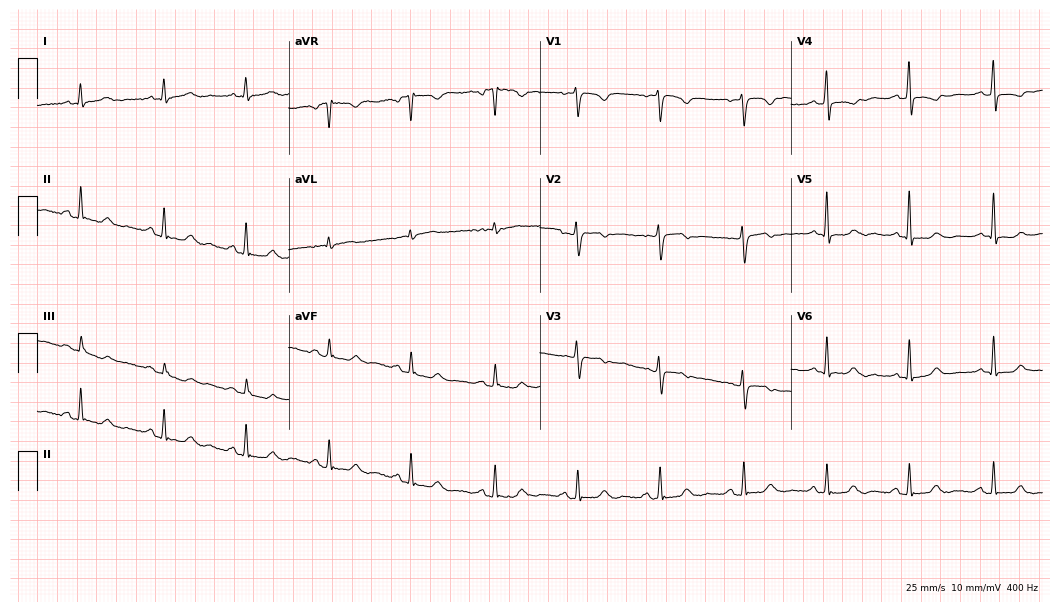
Standard 12-lead ECG recorded from a female patient, 47 years old. None of these six findings is recorded: first-degree AV block, right bundle branch block, left bundle branch block, sinus bradycardia, atrial fibrillation, sinus tachycardia. Findings outside these six are not listed.